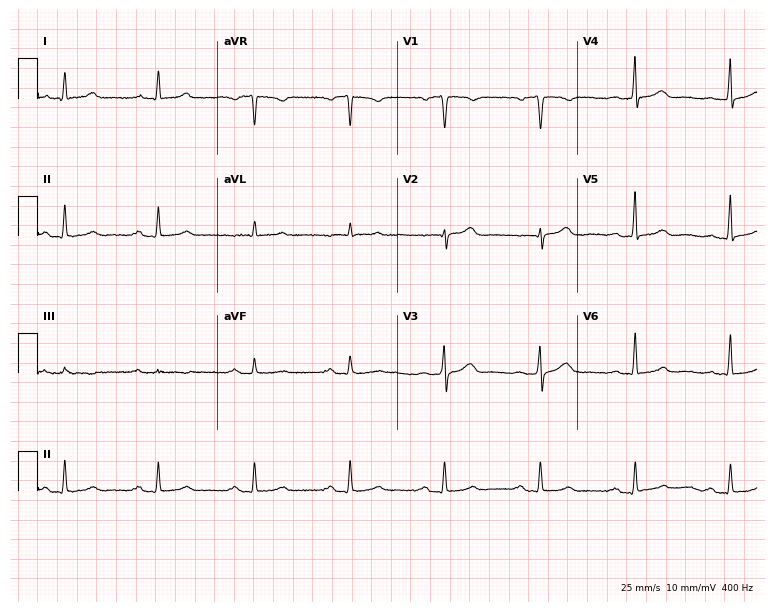
Electrocardiogram, a male patient, 74 years old. Interpretation includes first-degree AV block.